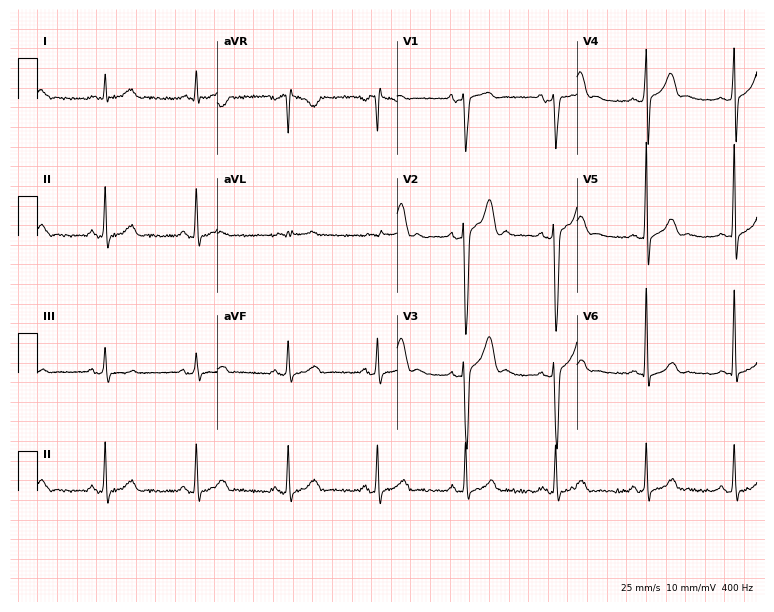
Electrocardiogram (7.3-second recording at 400 Hz), a 51-year-old male. Overall reading on record: normal ECG.